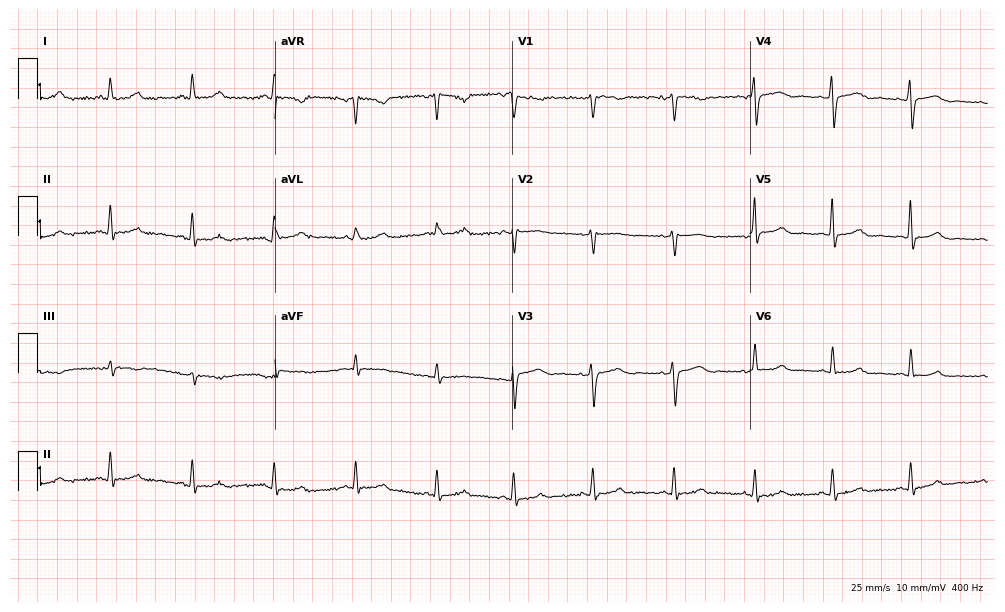
Resting 12-lead electrocardiogram. Patient: a 50-year-old woman. None of these six findings is recorded: first-degree AV block, right bundle branch block, left bundle branch block, sinus bradycardia, atrial fibrillation, sinus tachycardia. Other findings, if any, are not listed.